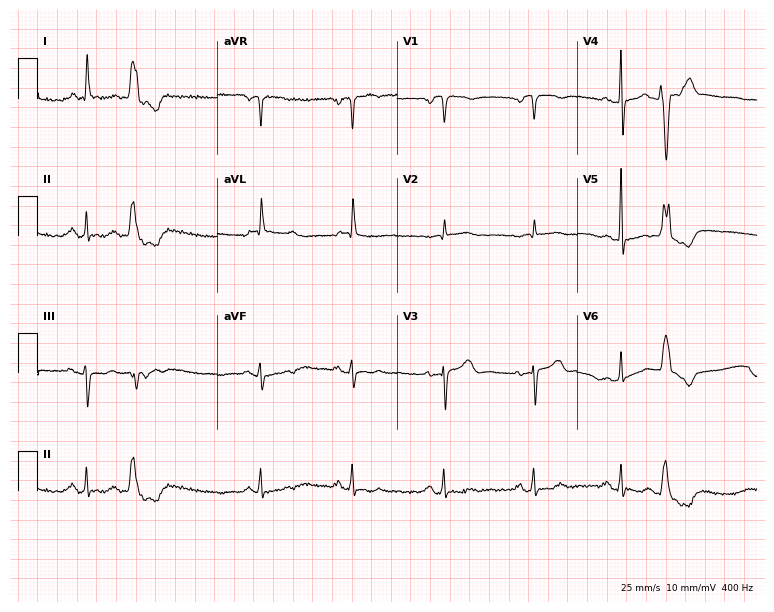
Resting 12-lead electrocardiogram. Patient: a woman, 83 years old. None of these six findings is recorded: first-degree AV block, right bundle branch block, left bundle branch block, sinus bradycardia, atrial fibrillation, sinus tachycardia. Only these six findings were labelled.